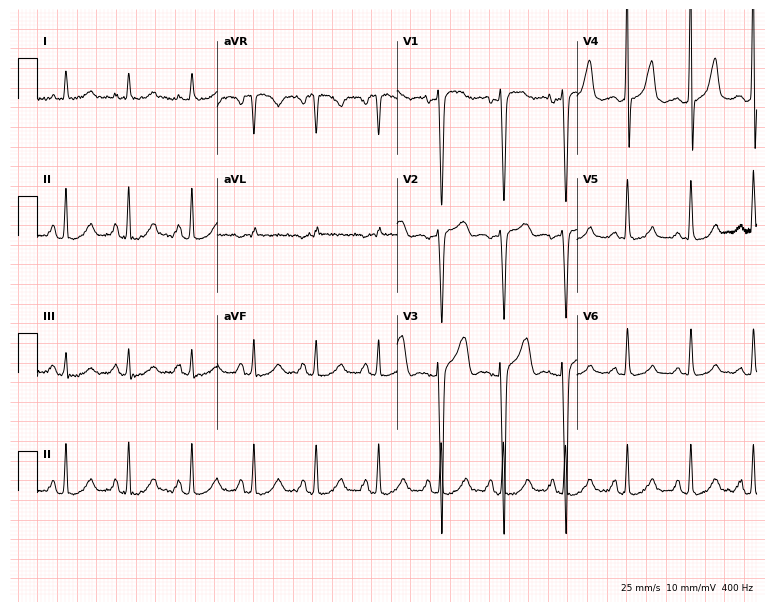
12-lead ECG (7.3-second recording at 400 Hz) from a 35-year-old male patient. Labelled as a normal ECG.